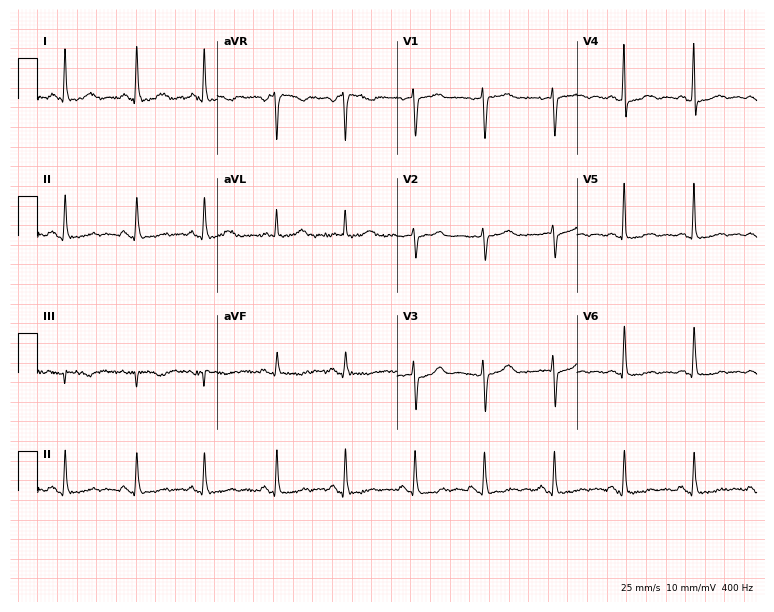
12-lead ECG from a female patient, 48 years old. No first-degree AV block, right bundle branch block, left bundle branch block, sinus bradycardia, atrial fibrillation or sinus tachycardia recorded for this tracing.